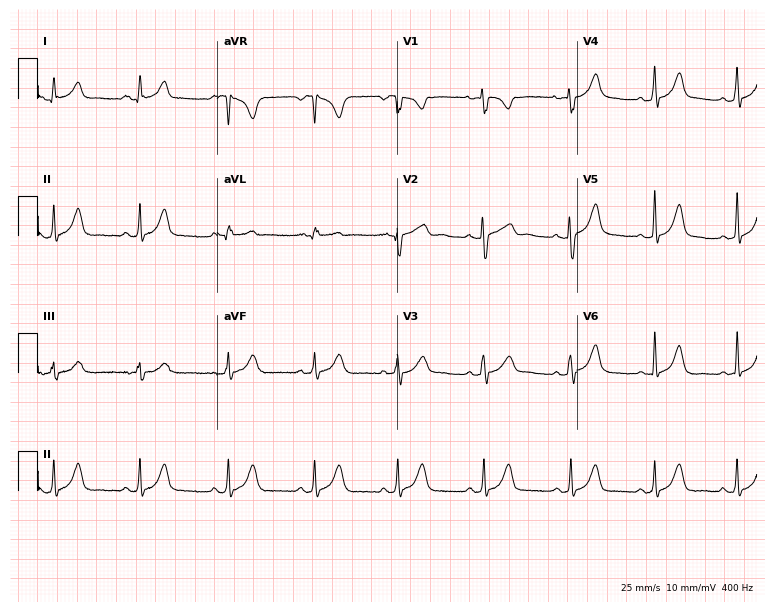
12-lead ECG from a female, 26 years old. Recorded interpretation: within normal limits.